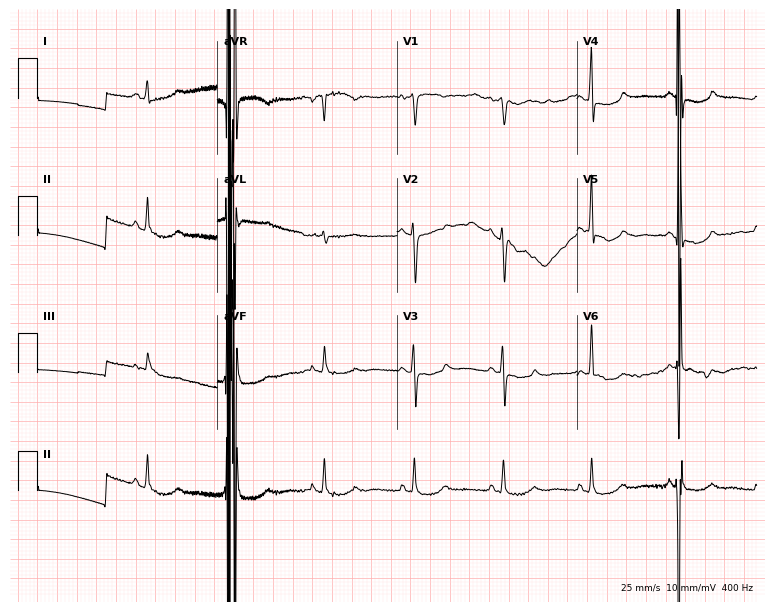
12-lead ECG from a 66-year-old female patient. No first-degree AV block, right bundle branch block (RBBB), left bundle branch block (LBBB), sinus bradycardia, atrial fibrillation (AF) or sinus tachycardia recorded for this tracing.